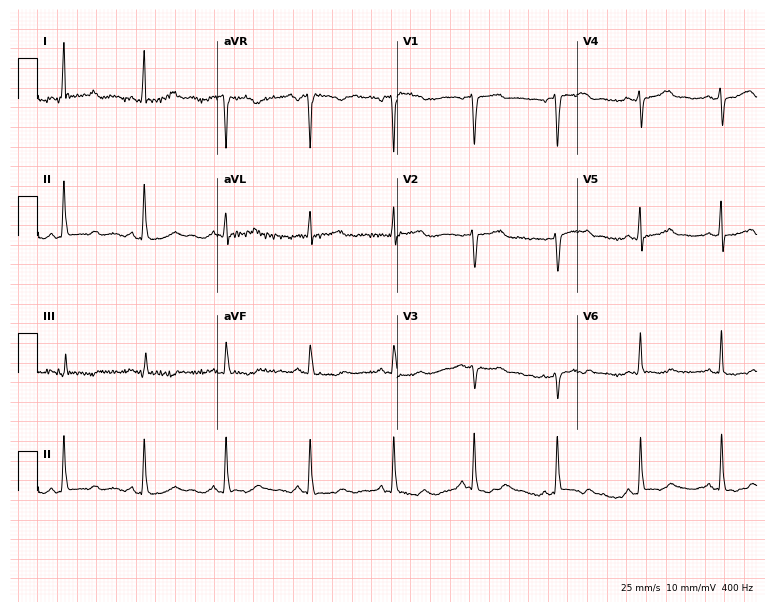
ECG — a 45-year-old female. Screened for six findings — first-degree AV block, right bundle branch block, left bundle branch block, sinus bradycardia, atrial fibrillation, sinus tachycardia — none is recorded. Findings outside these six are not listed.